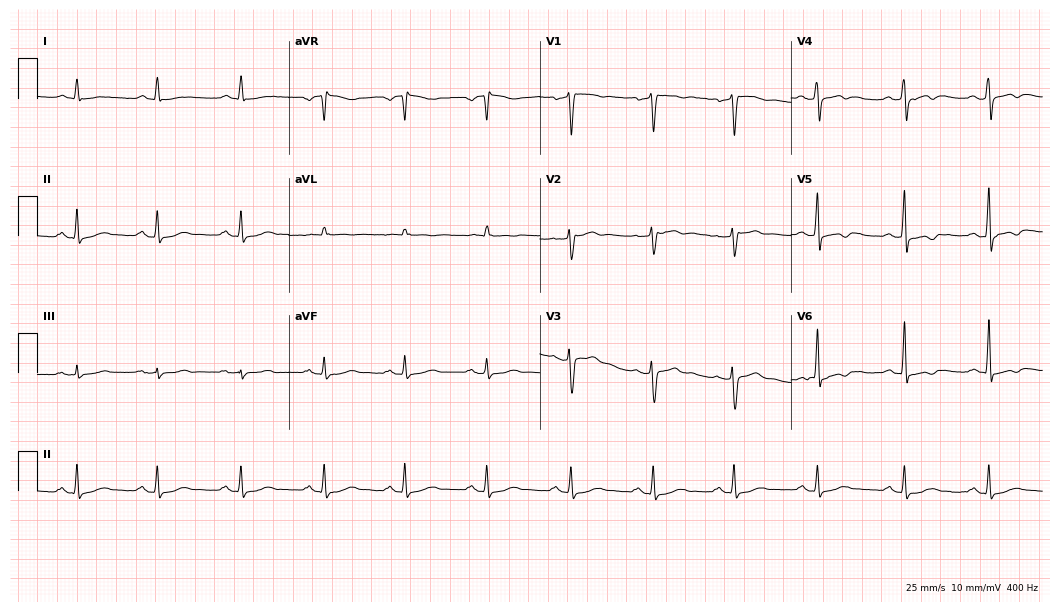
Resting 12-lead electrocardiogram. Patient: a male, 48 years old. None of these six findings is recorded: first-degree AV block, right bundle branch block, left bundle branch block, sinus bradycardia, atrial fibrillation, sinus tachycardia.